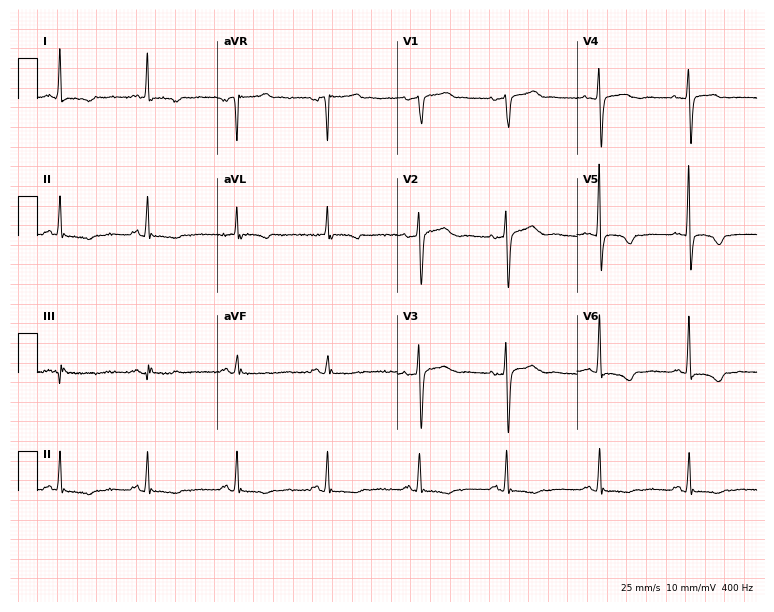
ECG — a woman, 75 years old. Screened for six findings — first-degree AV block, right bundle branch block, left bundle branch block, sinus bradycardia, atrial fibrillation, sinus tachycardia — none is recorded.